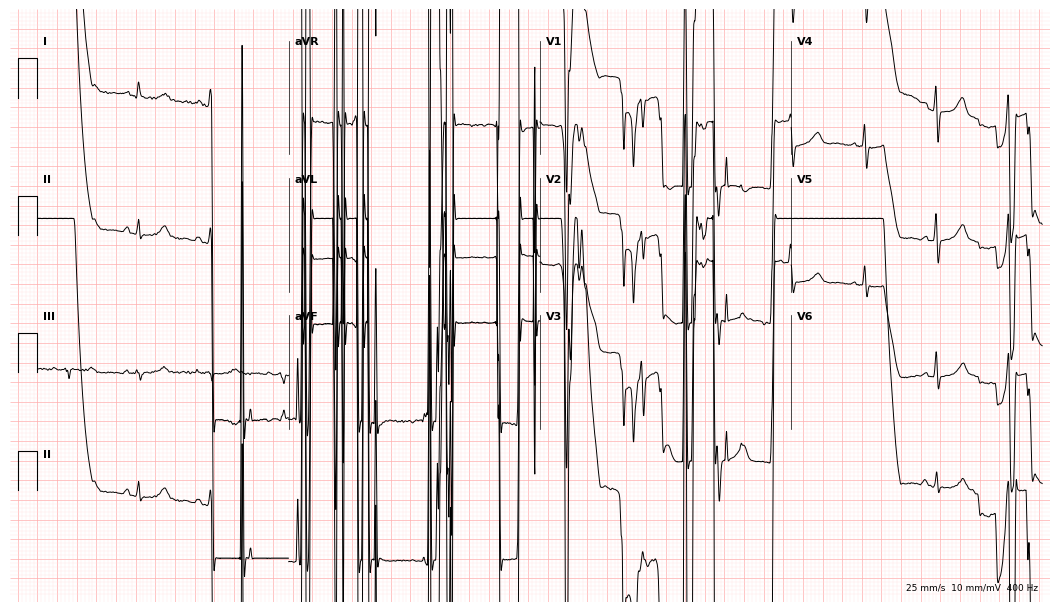
Electrocardiogram, a woman, 52 years old. Of the six screened findings (first-degree AV block, right bundle branch block (RBBB), left bundle branch block (LBBB), sinus bradycardia, atrial fibrillation (AF), sinus tachycardia), none is recorded.